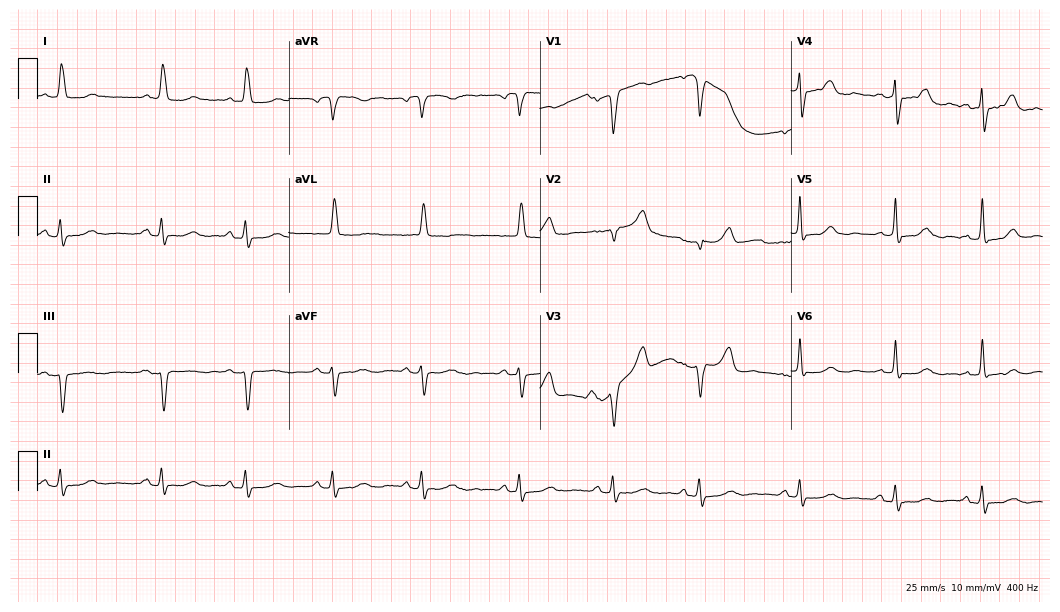
Resting 12-lead electrocardiogram. Patient: an 83-year-old female. None of these six findings is recorded: first-degree AV block, right bundle branch block, left bundle branch block, sinus bradycardia, atrial fibrillation, sinus tachycardia. Other findings, if any, are not listed.